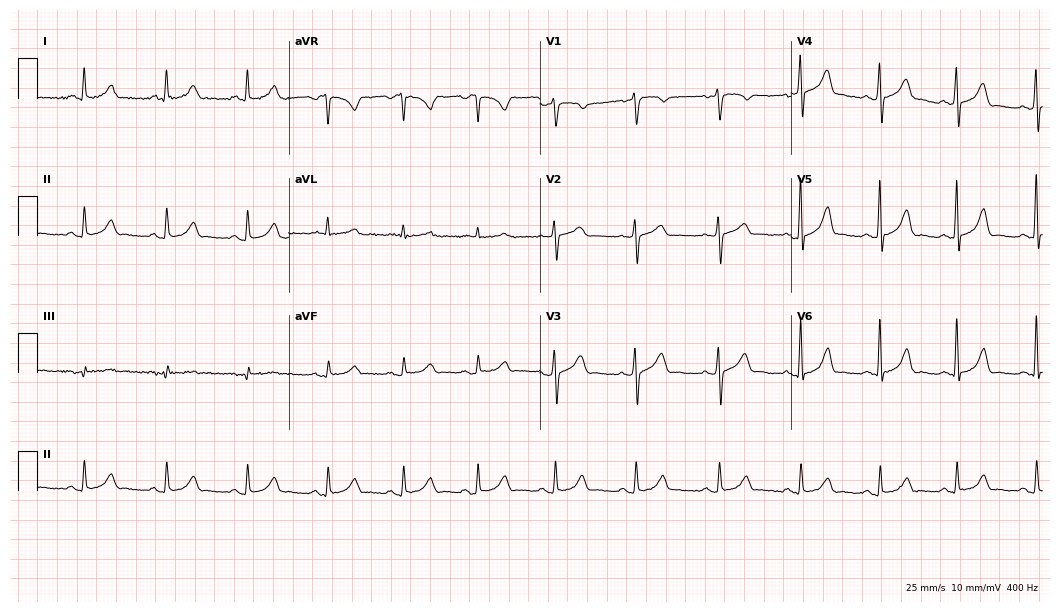
Electrocardiogram, a man, 50 years old. Overall reading on record: normal ECG.